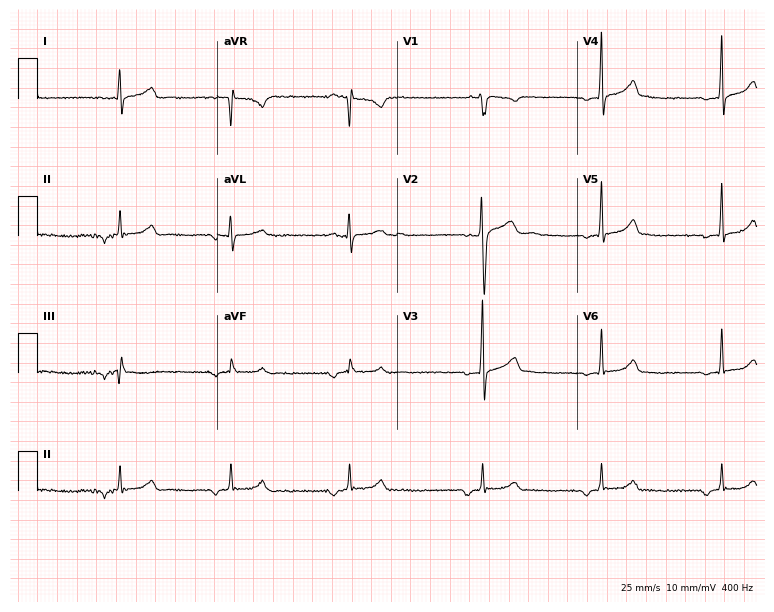
ECG — a 27-year-old male. Screened for six findings — first-degree AV block, right bundle branch block (RBBB), left bundle branch block (LBBB), sinus bradycardia, atrial fibrillation (AF), sinus tachycardia — none is recorded.